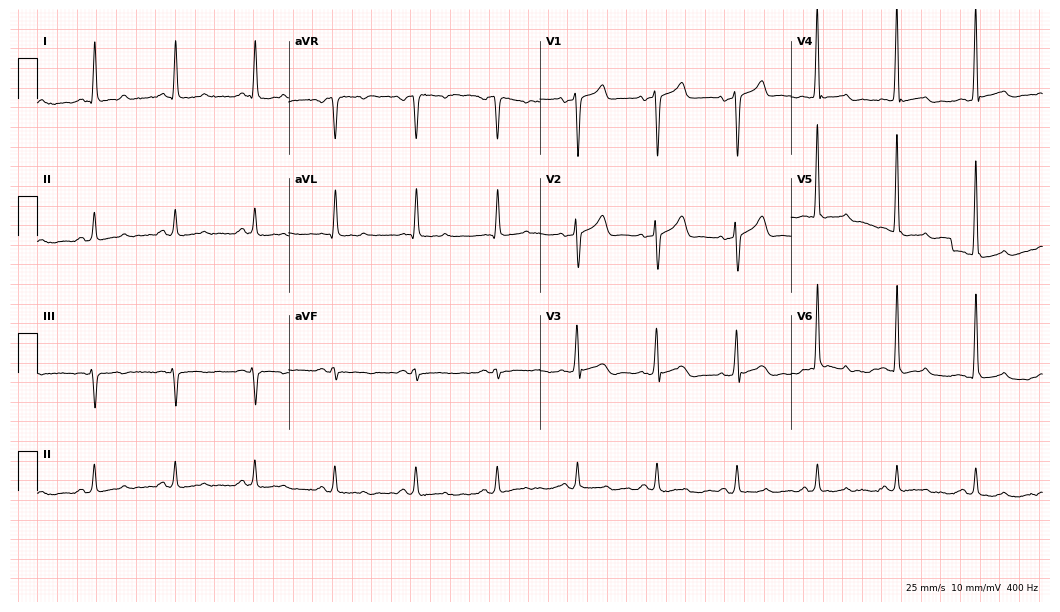
Standard 12-lead ECG recorded from a 63-year-old man (10.2-second recording at 400 Hz). None of these six findings is recorded: first-degree AV block, right bundle branch block, left bundle branch block, sinus bradycardia, atrial fibrillation, sinus tachycardia.